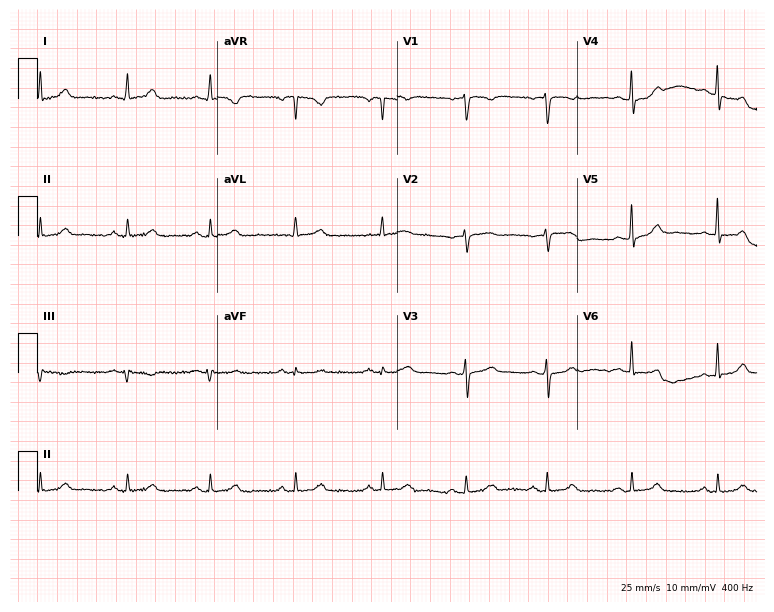
Electrocardiogram, a woman, 36 years old. Overall reading on record: normal ECG.